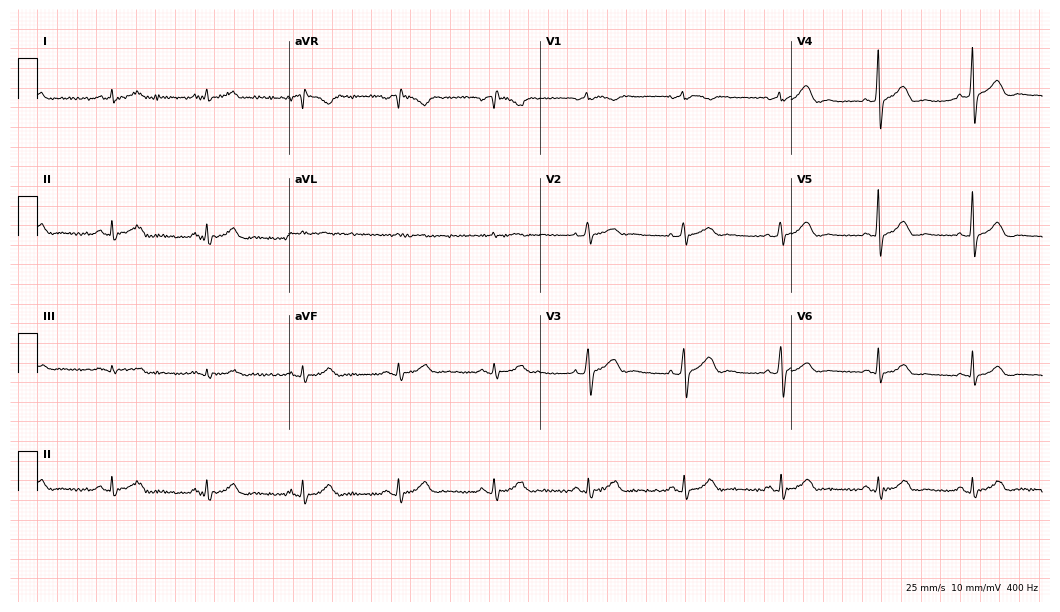
ECG — a 61-year-old man. Labelled as a normal ECG.